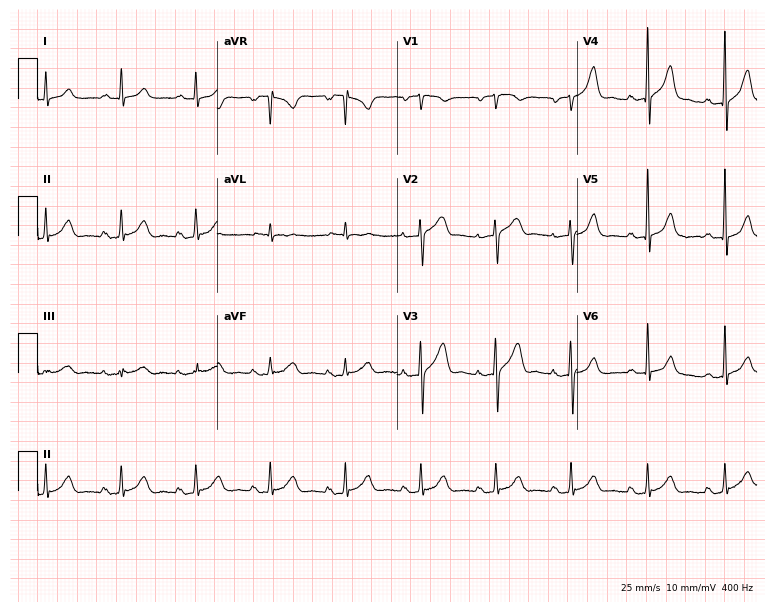
12-lead ECG (7.3-second recording at 400 Hz) from a male patient, 64 years old. Labelled as a normal ECG.